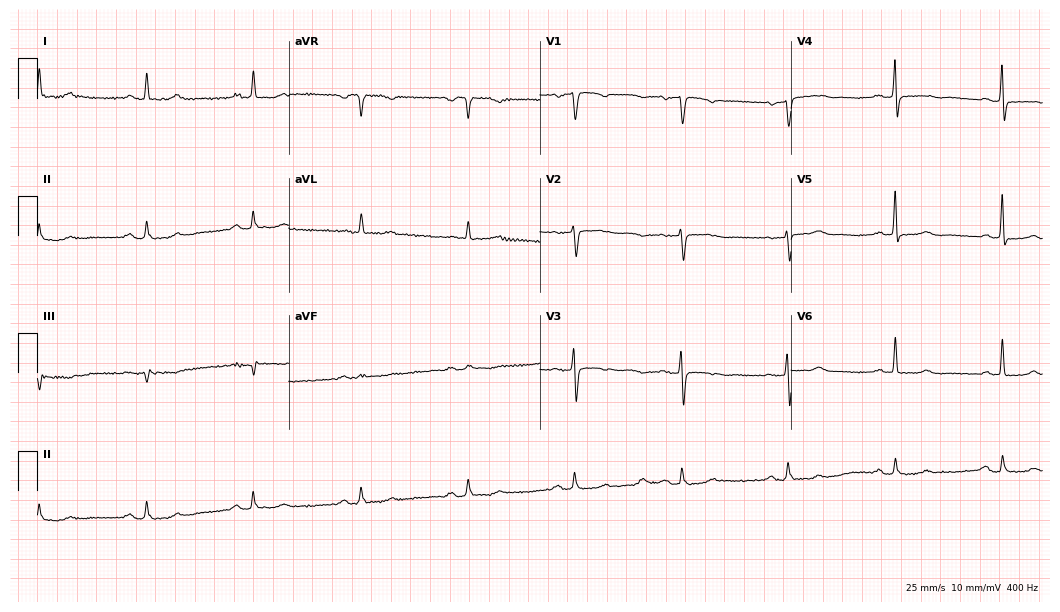
ECG — a woman, 67 years old. Screened for six findings — first-degree AV block, right bundle branch block, left bundle branch block, sinus bradycardia, atrial fibrillation, sinus tachycardia — none is recorded. Findings outside these six are not listed.